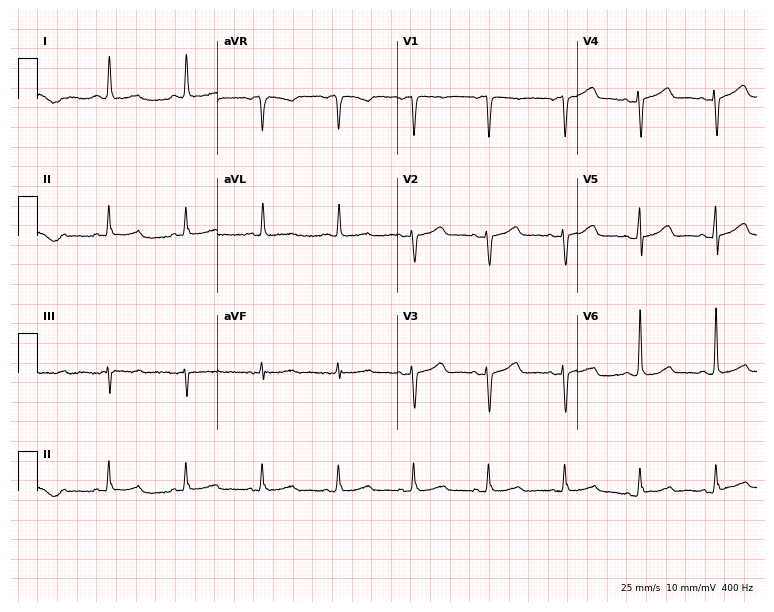
Electrocardiogram (7.3-second recording at 400 Hz), a woman, 63 years old. Overall reading on record: normal ECG.